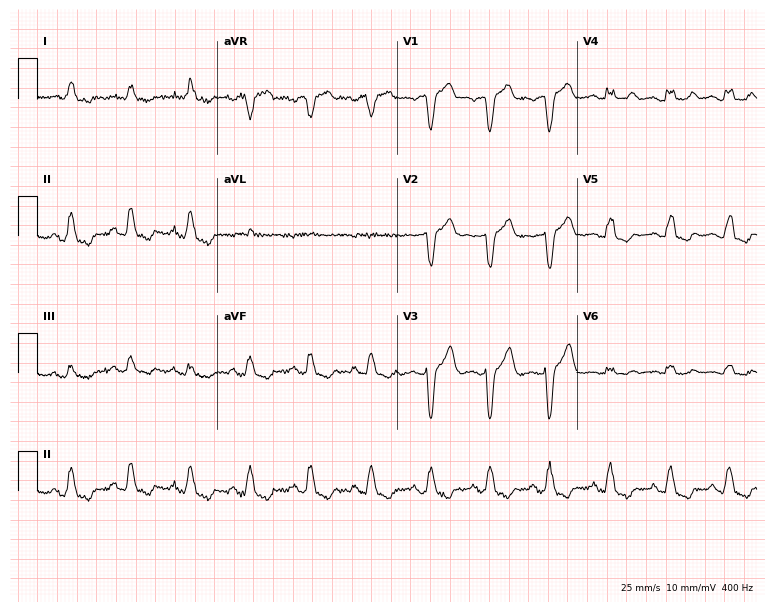
ECG — a male patient, 80 years old. Findings include left bundle branch block.